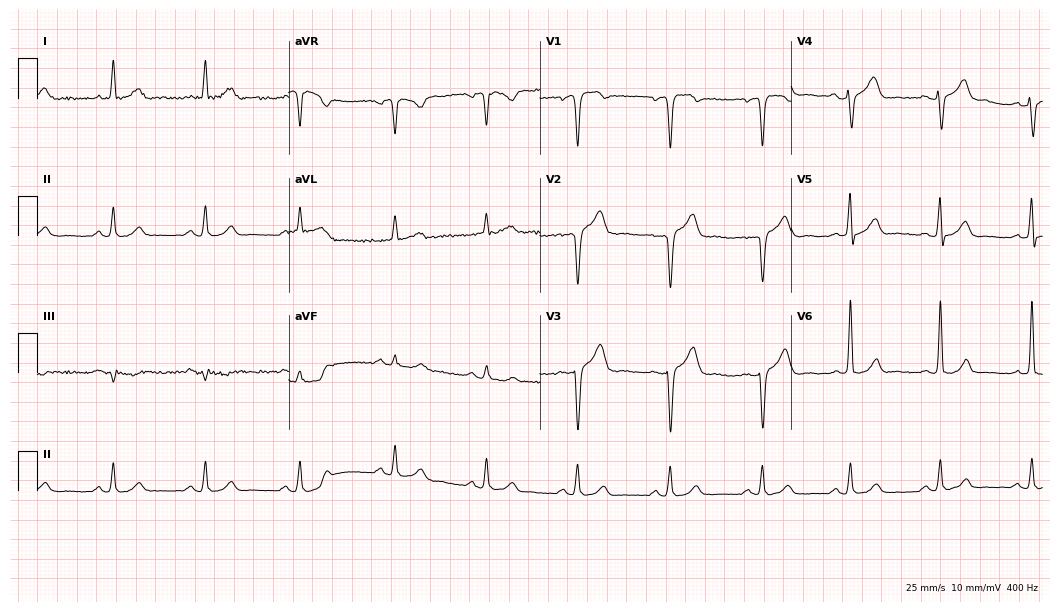
Standard 12-lead ECG recorded from a 42-year-old male patient. None of these six findings is recorded: first-degree AV block, right bundle branch block, left bundle branch block, sinus bradycardia, atrial fibrillation, sinus tachycardia.